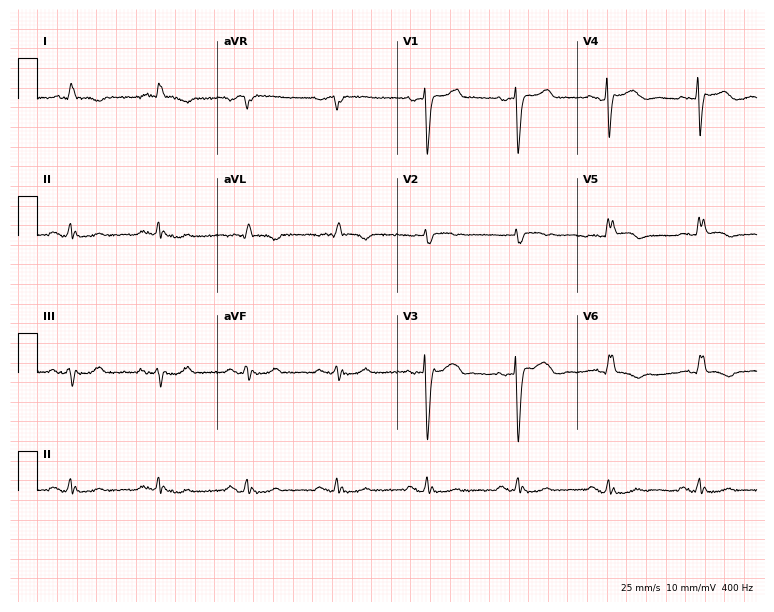
12-lead ECG (7.3-second recording at 400 Hz) from a male, 70 years old. Screened for six findings — first-degree AV block, right bundle branch block, left bundle branch block, sinus bradycardia, atrial fibrillation, sinus tachycardia — none is recorded.